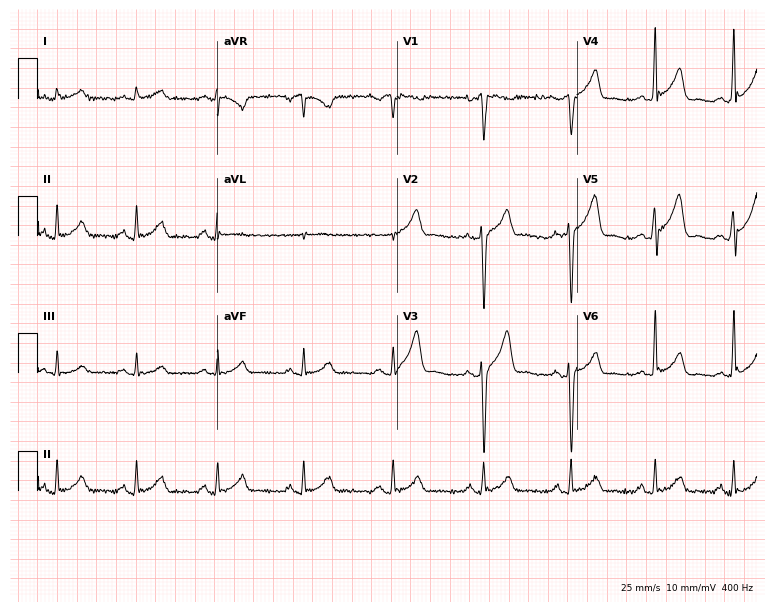
ECG — a 22-year-old male. Screened for six findings — first-degree AV block, right bundle branch block, left bundle branch block, sinus bradycardia, atrial fibrillation, sinus tachycardia — none is recorded. Other findings, if any, are not listed.